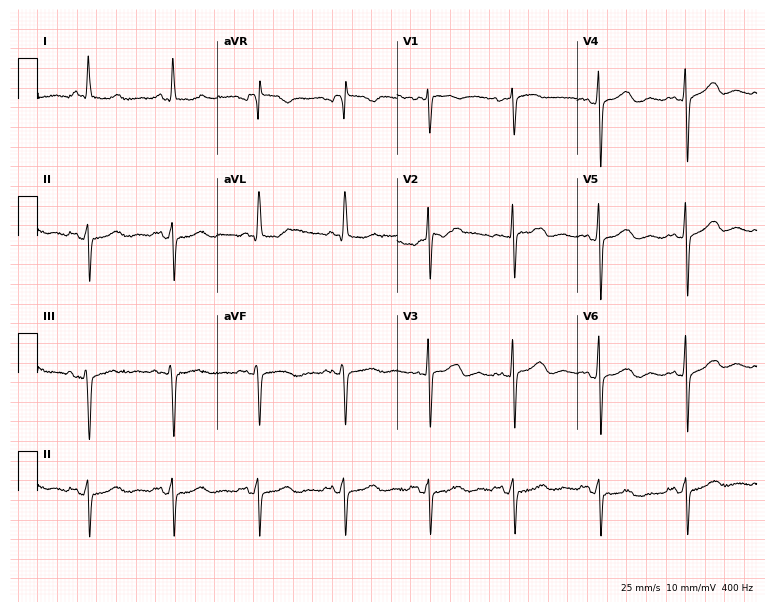
12-lead ECG (7.3-second recording at 400 Hz) from a woman, 65 years old. Screened for six findings — first-degree AV block, right bundle branch block (RBBB), left bundle branch block (LBBB), sinus bradycardia, atrial fibrillation (AF), sinus tachycardia — none is recorded.